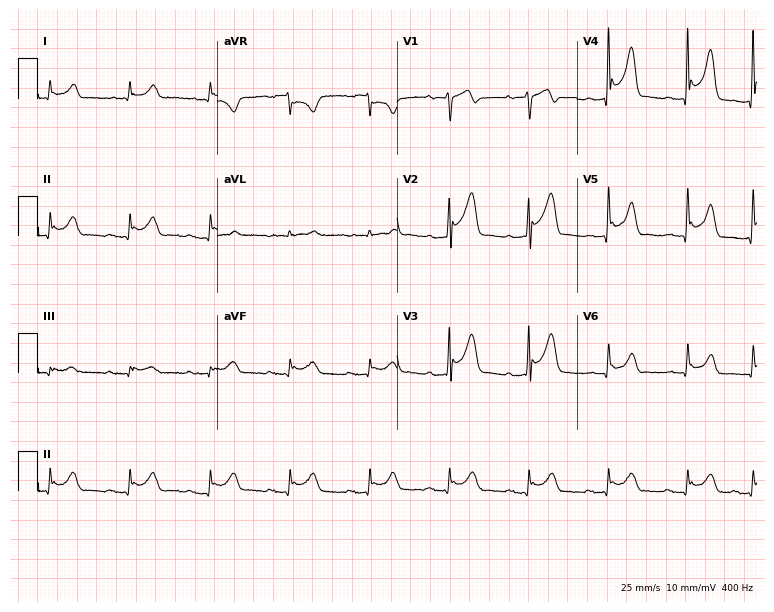
Standard 12-lead ECG recorded from a male, 79 years old (7.3-second recording at 400 Hz). None of these six findings is recorded: first-degree AV block, right bundle branch block (RBBB), left bundle branch block (LBBB), sinus bradycardia, atrial fibrillation (AF), sinus tachycardia.